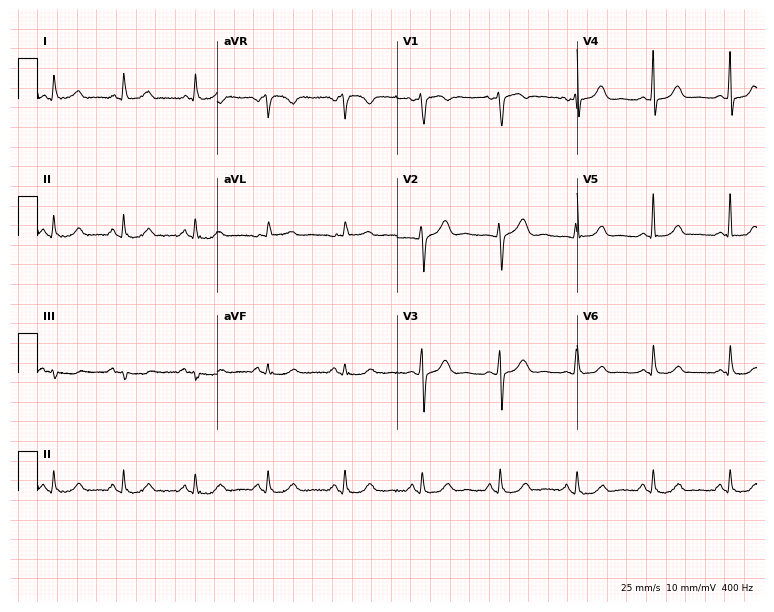
Electrocardiogram, a female, 36 years old. Overall reading on record: normal ECG.